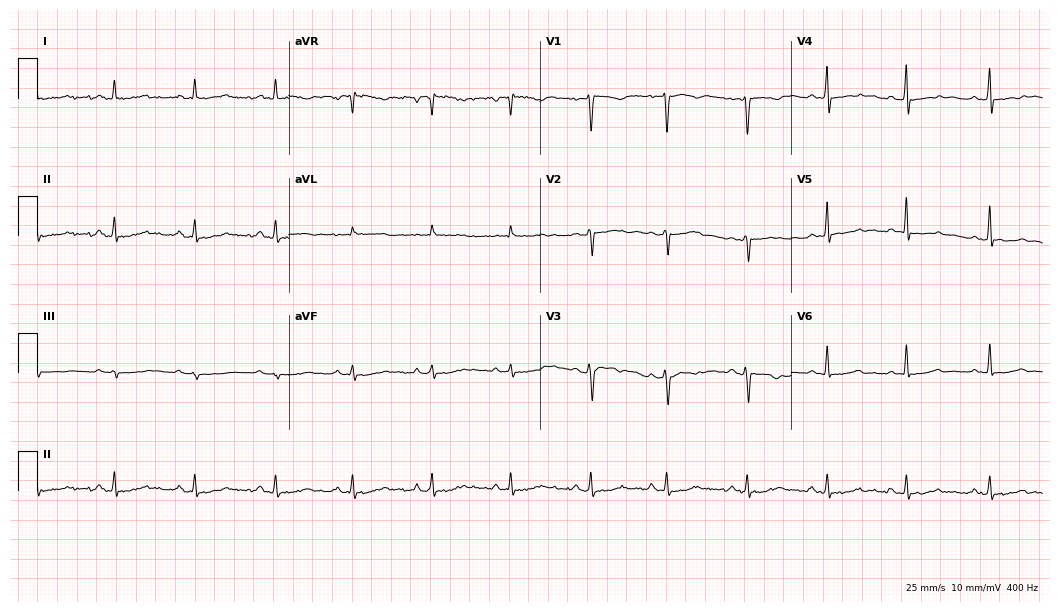
Resting 12-lead electrocardiogram. Patient: a female, 50 years old. None of these six findings is recorded: first-degree AV block, right bundle branch block (RBBB), left bundle branch block (LBBB), sinus bradycardia, atrial fibrillation (AF), sinus tachycardia.